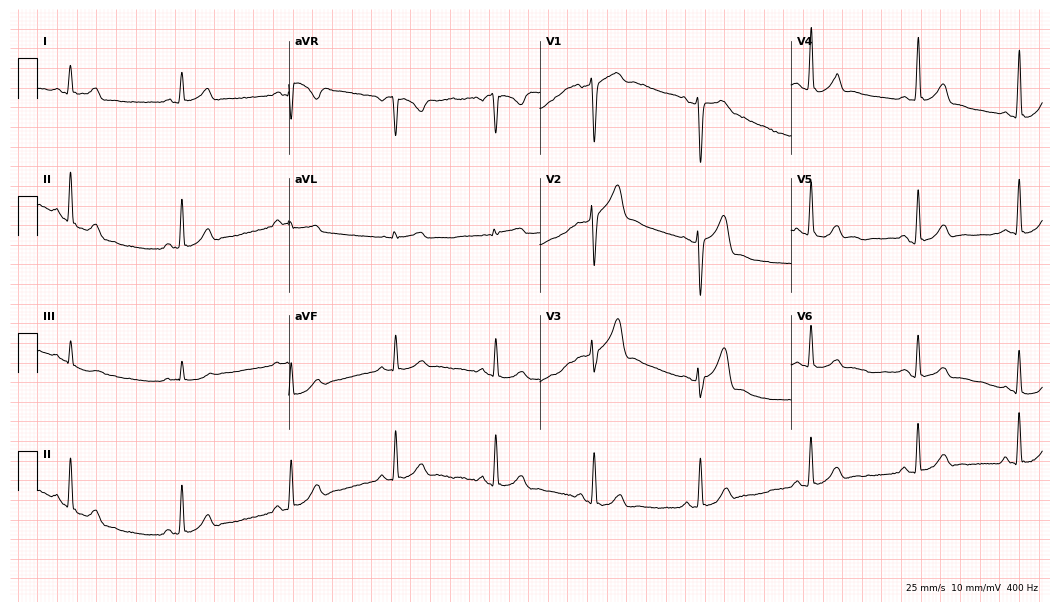
12-lead ECG from a man, 31 years old (10.2-second recording at 400 Hz). Recorded interpretation: within normal limits.